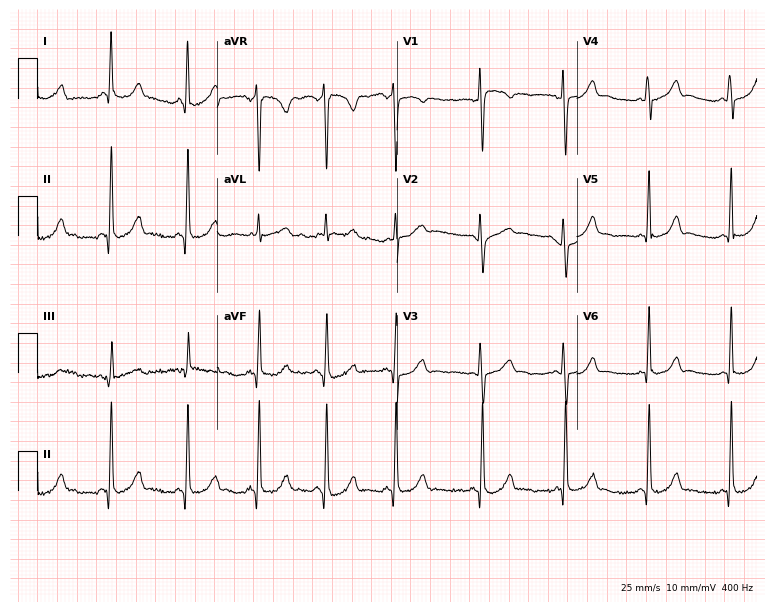
12-lead ECG from a 29-year-old female patient (7.3-second recording at 400 Hz). No first-degree AV block, right bundle branch block, left bundle branch block, sinus bradycardia, atrial fibrillation or sinus tachycardia recorded for this tracing.